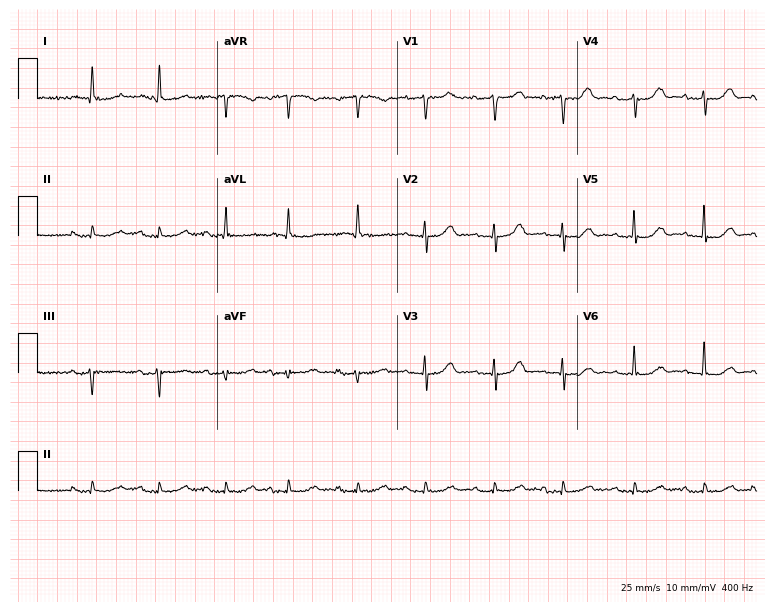
ECG (7.3-second recording at 400 Hz) — an 82-year-old female patient. Labelled as a normal ECG.